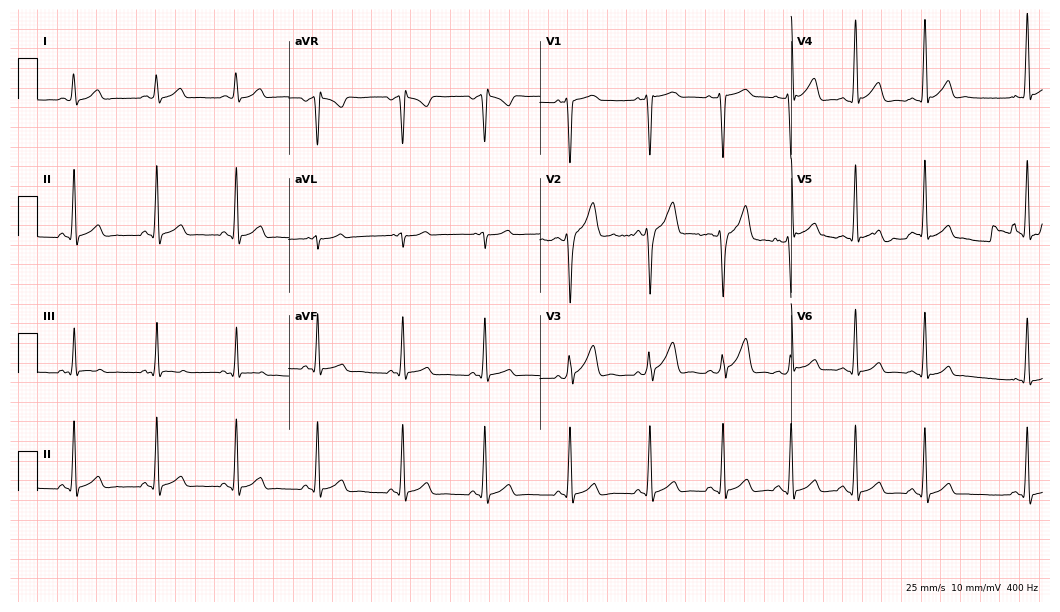
12-lead ECG from a male patient, 23 years old. No first-degree AV block, right bundle branch block (RBBB), left bundle branch block (LBBB), sinus bradycardia, atrial fibrillation (AF) or sinus tachycardia recorded for this tracing. Only these six findings were labelled.